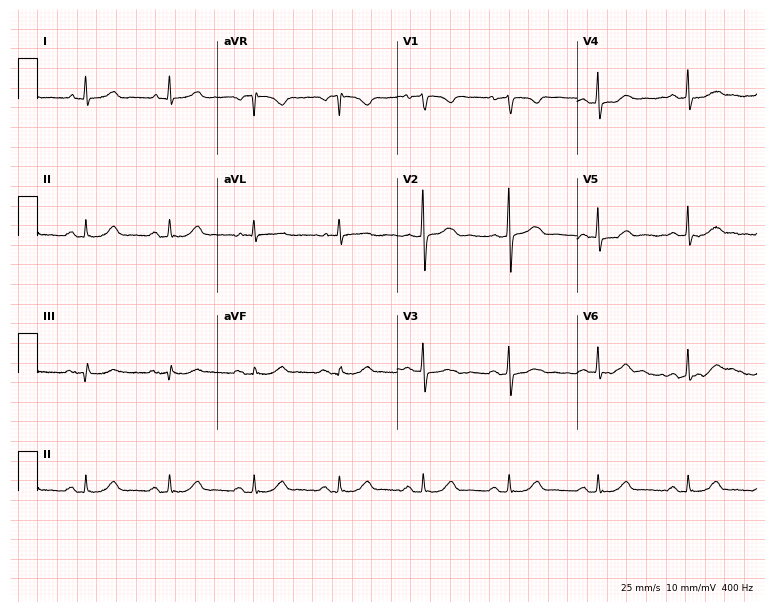
Electrocardiogram, a 58-year-old female patient. Overall reading on record: normal ECG.